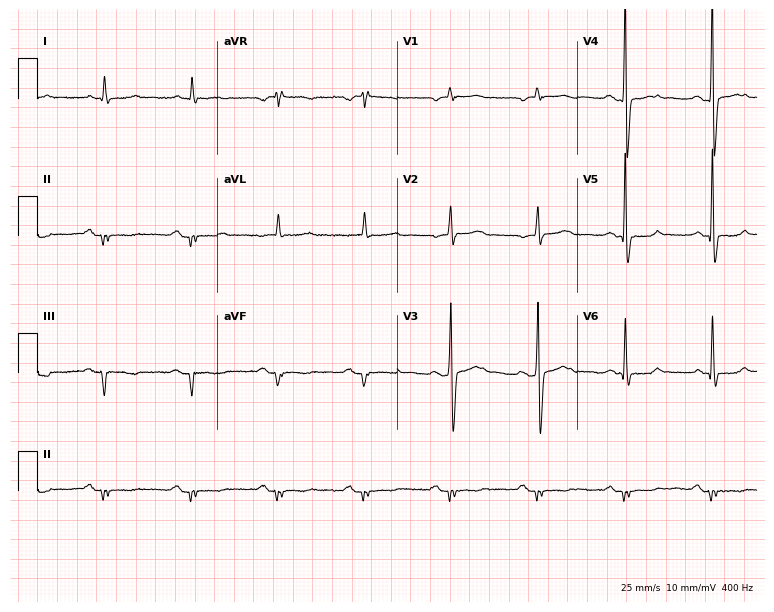
Standard 12-lead ECG recorded from an 82-year-old male (7.3-second recording at 400 Hz). None of these six findings is recorded: first-degree AV block, right bundle branch block (RBBB), left bundle branch block (LBBB), sinus bradycardia, atrial fibrillation (AF), sinus tachycardia.